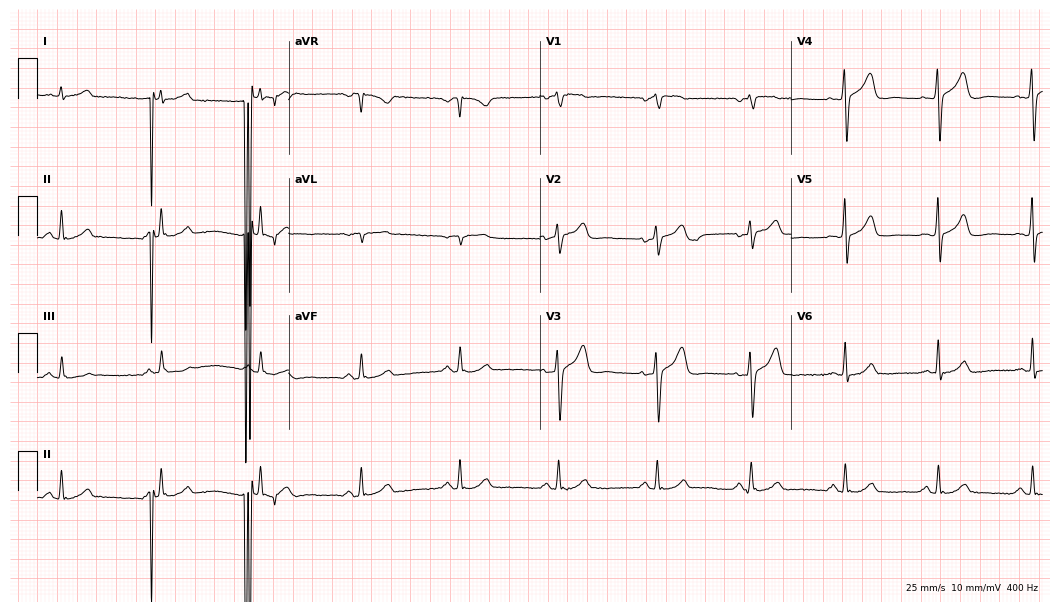
Electrocardiogram, a 55-year-old male. Of the six screened findings (first-degree AV block, right bundle branch block (RBBB), left bundle branch block (LBBB), sinus bradycardia, atrial fibrillation (AF), sinus tachycardia), none is recorded.